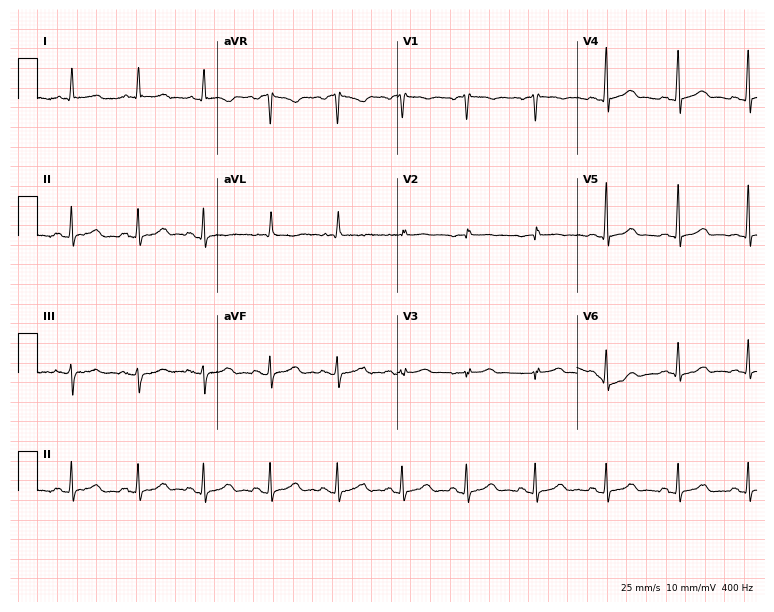
Resting 12-lead electrocardiogram. Patient: a 60-year-old female. None of these six findings is recorded: first-degree AV block, right bundle branch block (RBBB), left bundle branch block (LBBB), sinus bradycardia, atrial fibrillation (AF), sinus tachycardia.